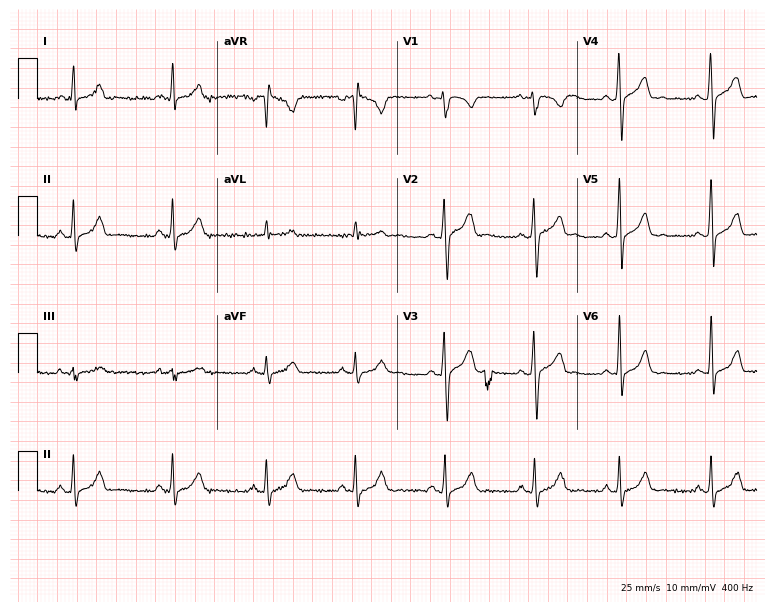
Resting 12-lead electrocardiogram. Patient: a 26-year-old male. None of these six findings is recorded: first-degree AV block, right bundle branch block, left bundle branch block, sinus bradycardia, atrial fibrillation, sinus tachycardia. Findings outside these six are not listed.